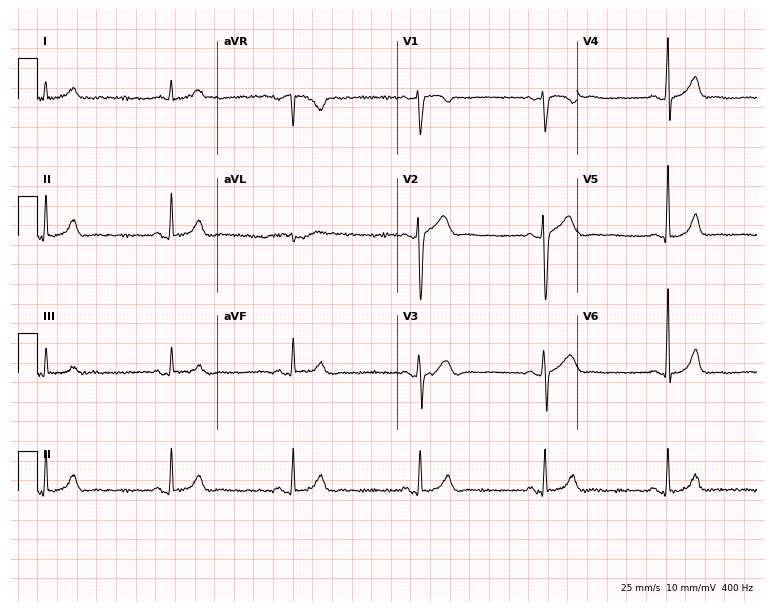
12-lead ECG from a male, 35 years old. Findings include sinus bradycardia (a sinus rate of 50 beats per minute or less).